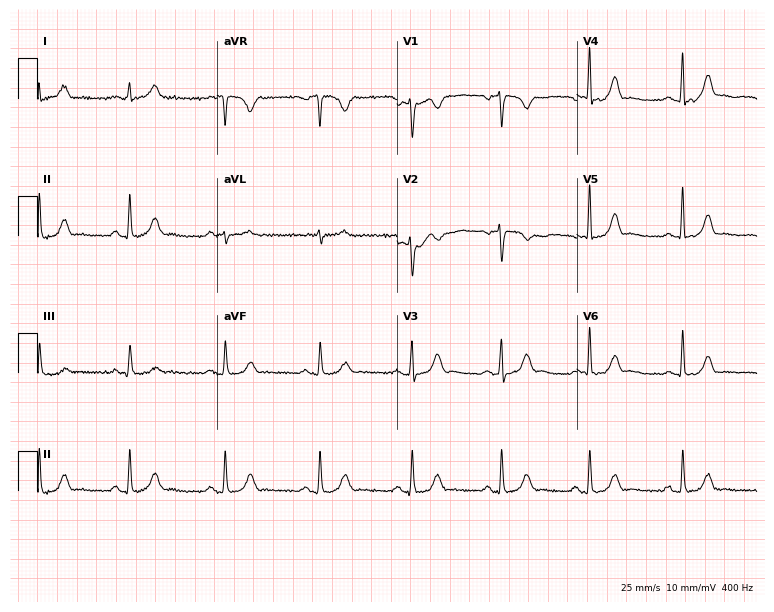
12-lead ECG from a female patient, 37 years old. Labelled as a normal ECG.